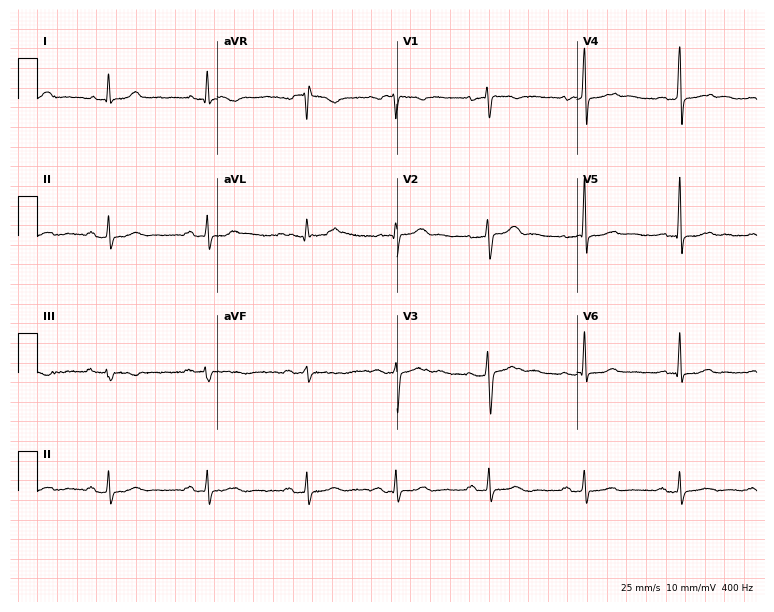
Electrocardiogram, a 44-year-old woman. Overall reading on record: normal ECG.